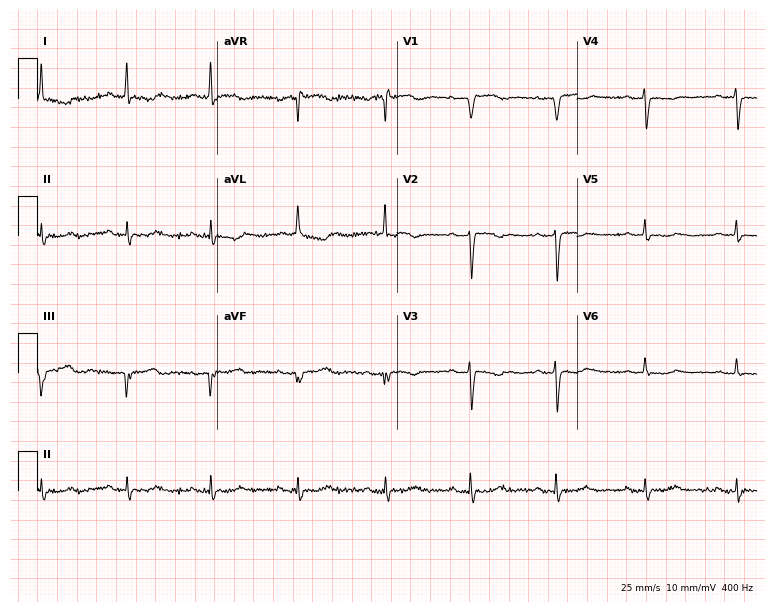
Resting 12-lead electrocardiogram. Patient: a 79-year-old woman. None of these six findings is recorded: first-degree AV block, right bundle branch block, left bundle branch block, sinus bradycardia, atrial fibrillation, sinus tachycardia.